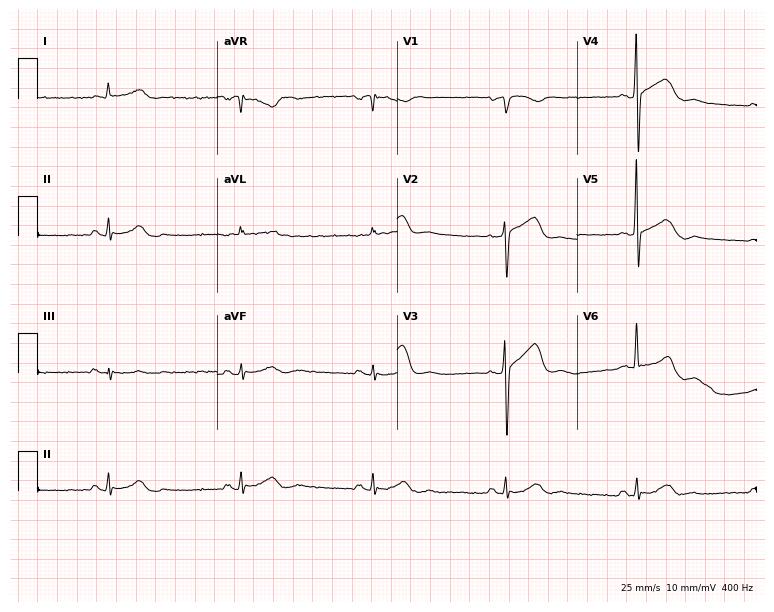
Resting 12-lead electrocardiogram. Patient: a 56-year-old male. None of these six findings is recorded: first-degree AV block, right bundle branch block, left bundle branch block, sinus bradycardia, atrial fibrillation, sinus tachycardia. Only these six findings were labelled.